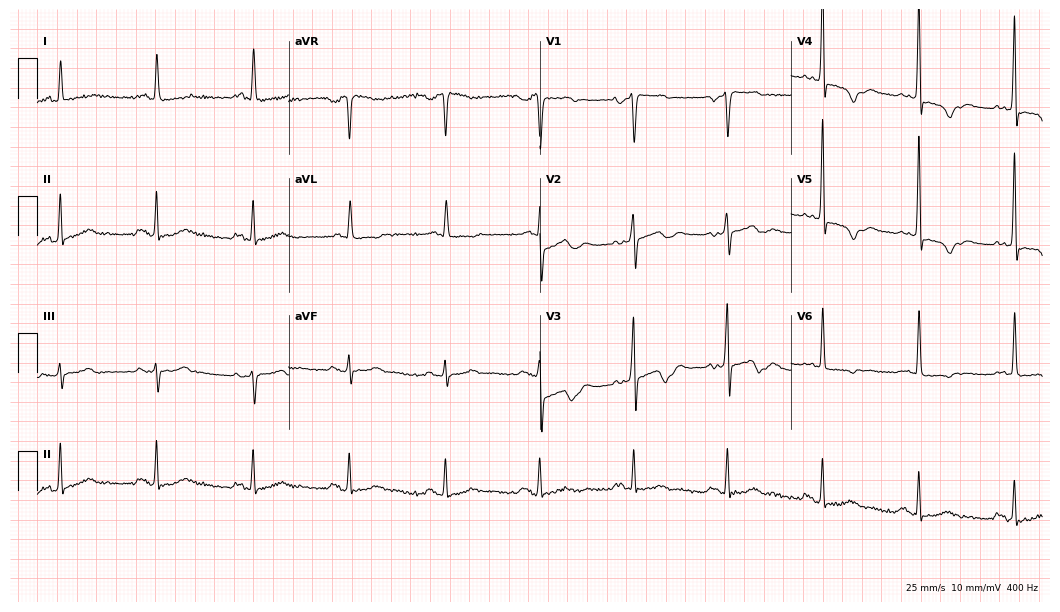
Standard 12-lead ECG recorded from a 63-year-old female. None of these six findings is recorded: first-degree AV block, right bundle branch block, left bundle branch block, sinus bradycardia, atrial fibrillation, sinus tachycardia. Other findings, if any, are not listed.